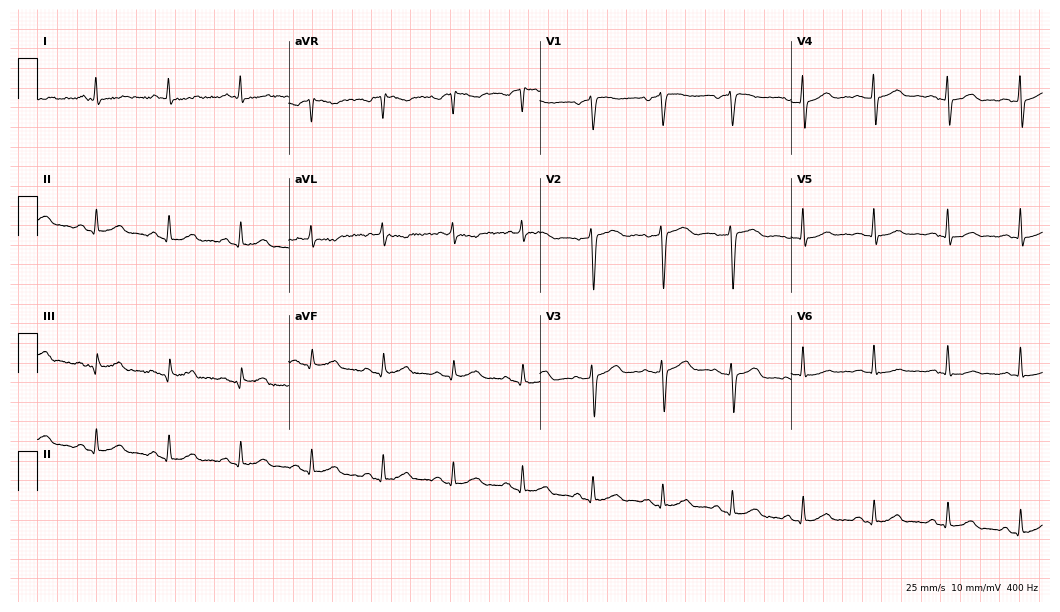
Resting 12-lead electrocardiogram. Patient: a woman, 42 years old. None of these six findings is recorded: first-degree AV block, right bundle branch block, left bundle branch block, sinus bradycardia, atrial fibrillation, sinus tachycardia.